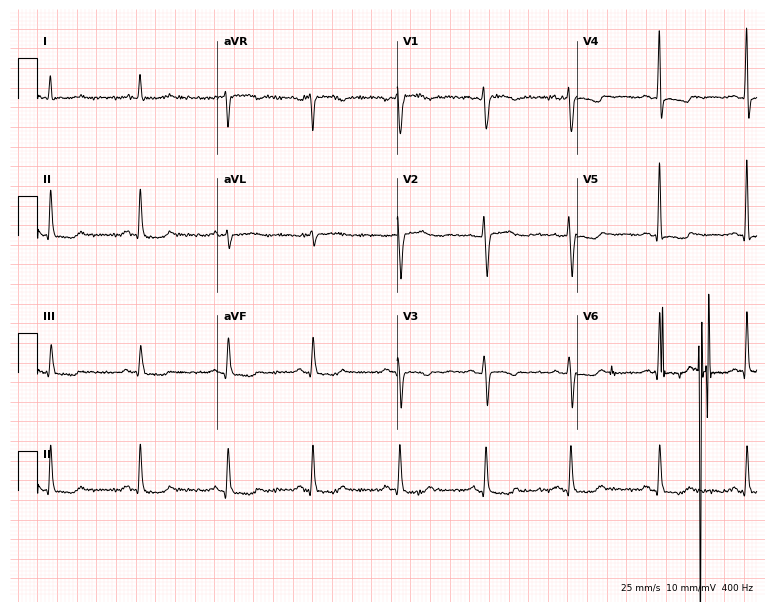
Resting 12-lead electrocardiogram. Patient: a woman, 50 years old. None of these six findings is recorded: first-degree AV block, right bundle branch block, left bundle branch block, sinus bradycardia, atrial fibrillation, sinus tachycardia.